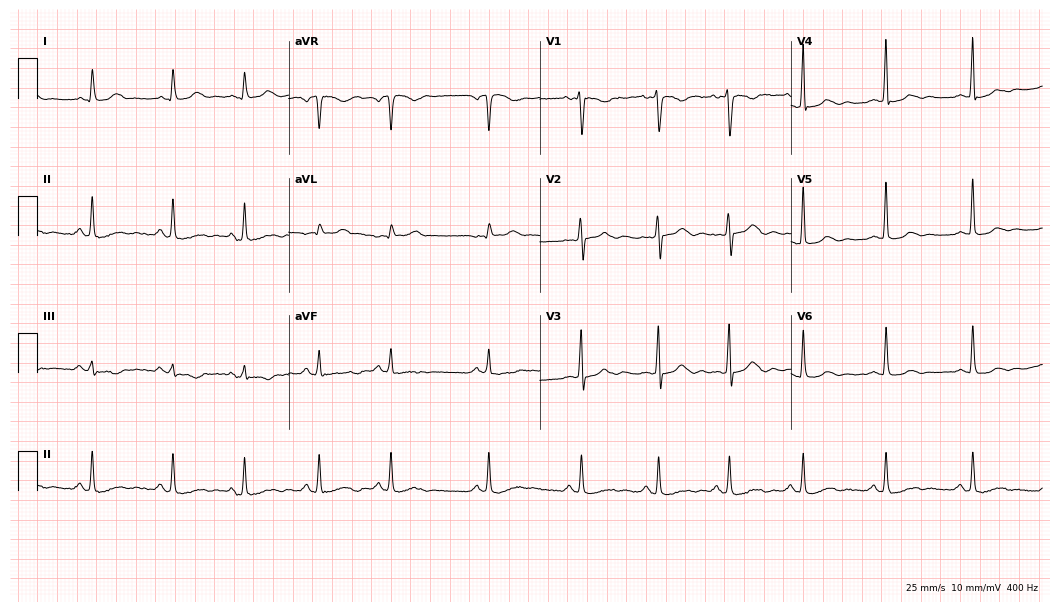
ECG (10.2-second recording at 400 Hz) — a 37-year-old woman. Screened for six findings — first-degree AV block, right bundle branch block, left bundle branch block, sinus bradycardia, atrial fibrillation, sinus tachycardia — none is recorded. Only these six findings were labelled.